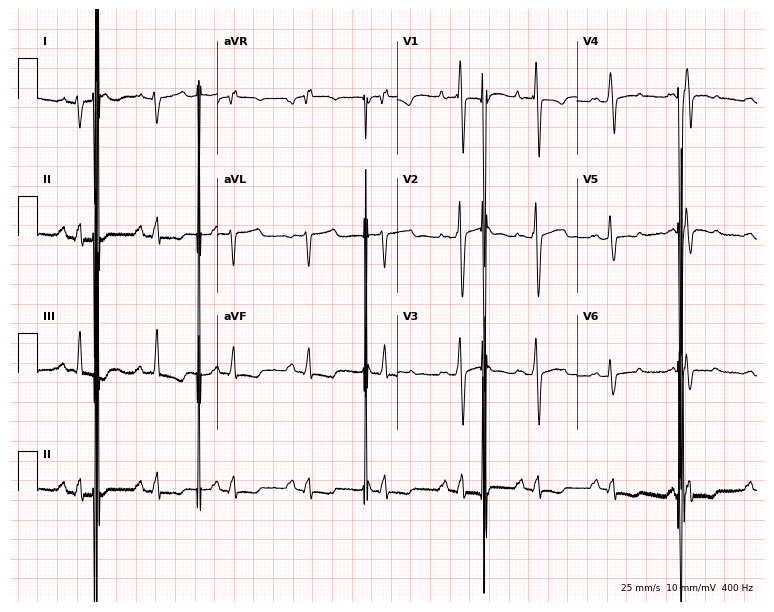
Standard 12-lead ECG recorded from a 68-year-old man. None of these six findings is recorded: first-degree AV block, right bundle branch block, left bundle branch block, sinus bradycardia, atrial fibrillation, sinus tachycardia. Other findings, if any, are not listed.